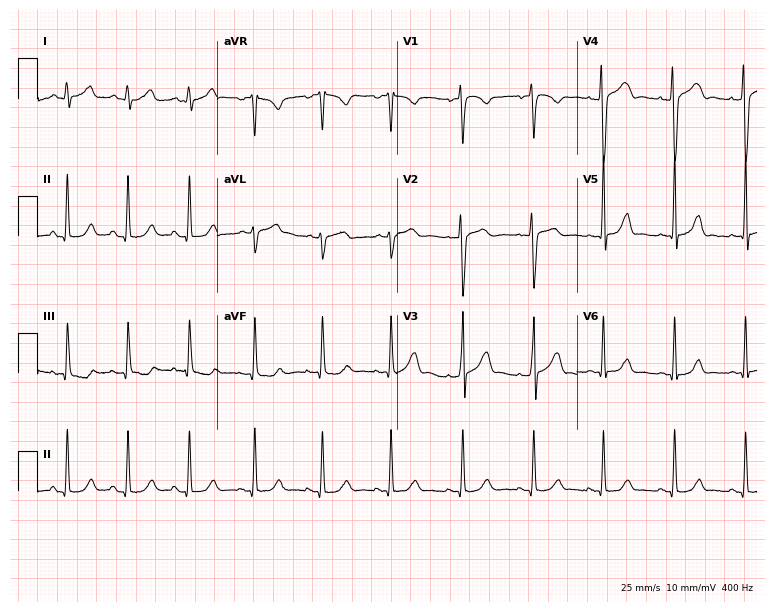
12-lead ECG from a woman, 32 years old. No first-degree AV block, right bundle branch block (RBBB), left bundle branch block (LBBB), sinus bradycardia, atrial fibrillation (AF) or sinus tachycardia recorded for this tracing.